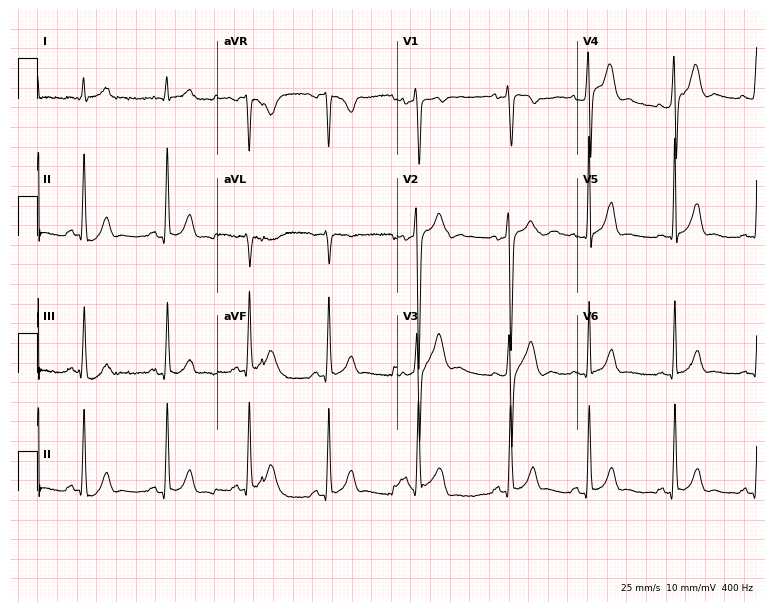
Resting 12-lead electrocardiogram. Patient: a male, 17 years old. Read as a normal ECG.